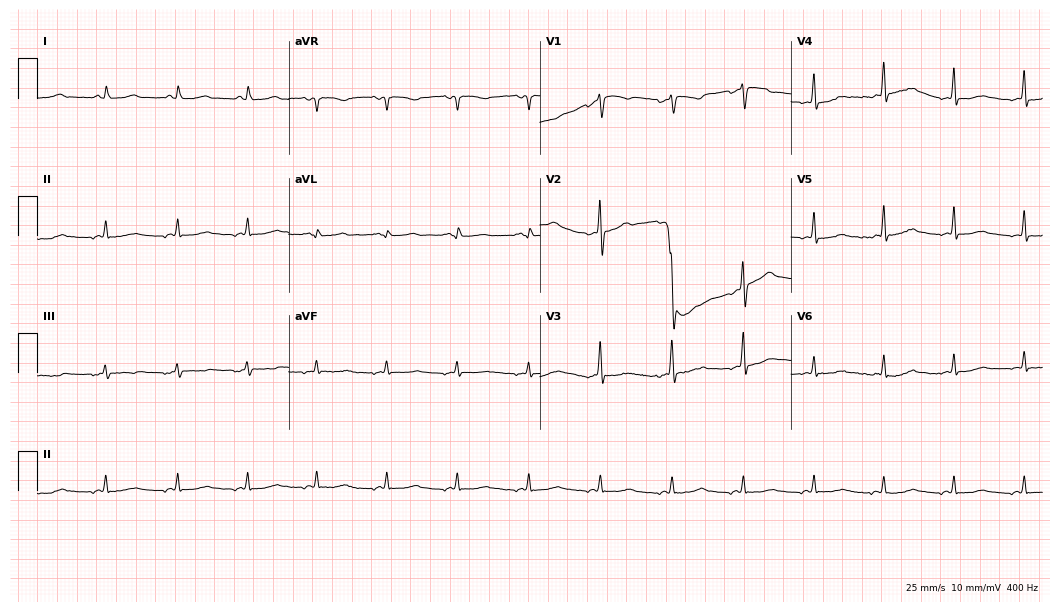
Resting 12-lead electrocardiogram (10.2-second recording at 400 Hz). Patient: a 62-year-old man. None of these six findings is recorded: first-degree AV block, right bundle branch block, left bundle branch block, sinus bradycardia, atrial fibrillation, sinus tachycardia.